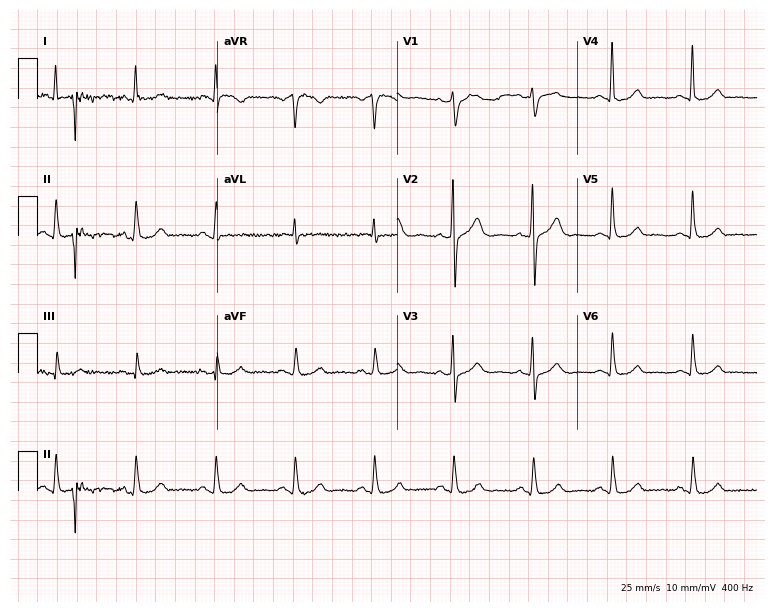
12-lead ECG from an 80-year-old woman. Recorded interpretation: within normal limits.